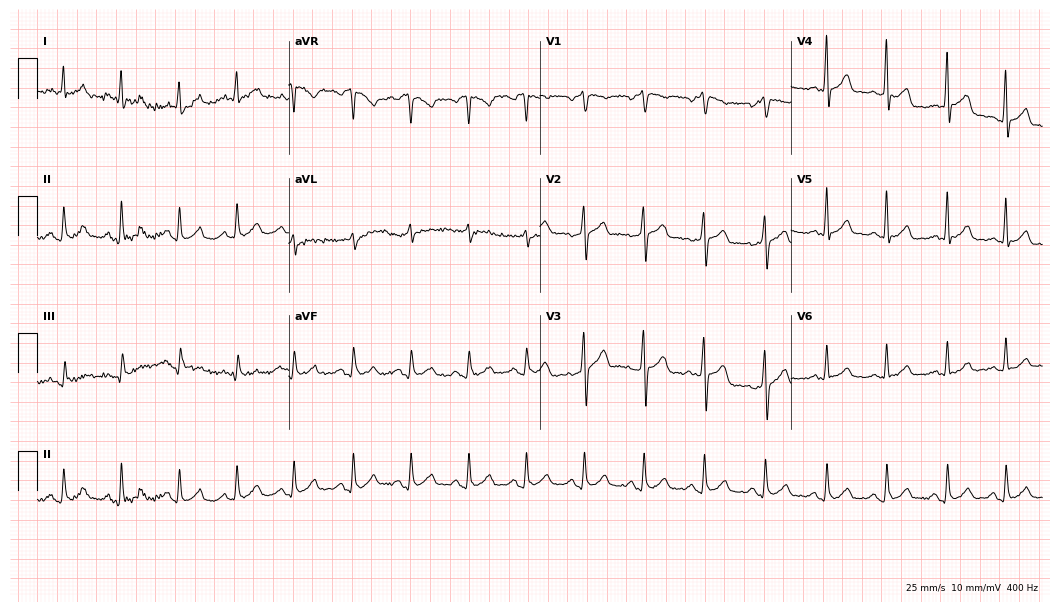
ECG (10.2-second recording at 400 Hz) — a 53-year-old male patient. Findings include sinus tachycardia (a sinus rate of 100 beats per minute or more).